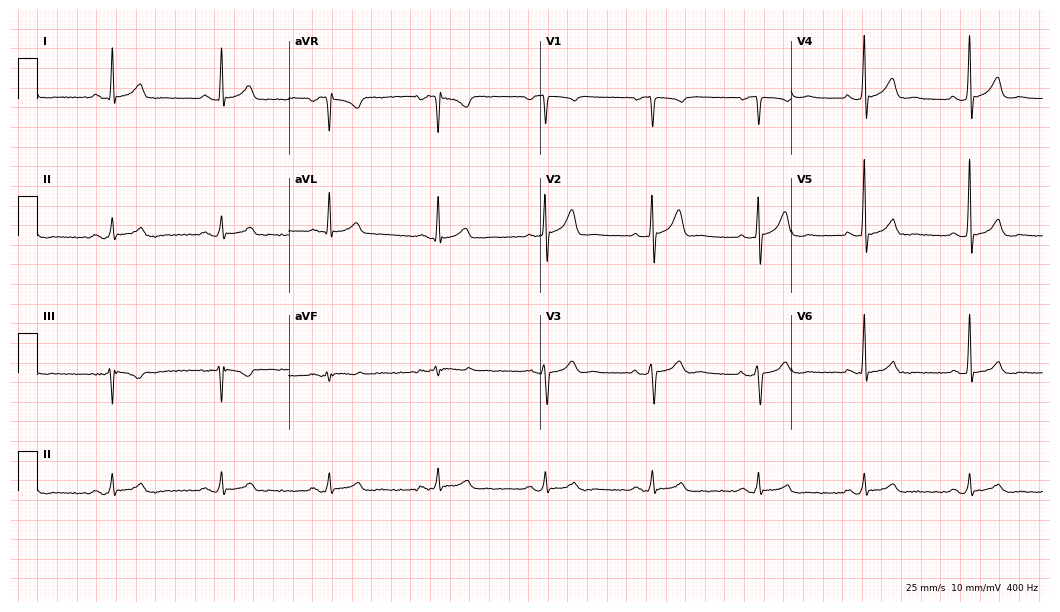
ECG (10.2-second recording at 400 Hz) — a male patient, 49 years old. Screened for six findings — first-degree AV block, right bundle branch block, left bundle branch block, sinus bradycardia, atrial fibrillation, sinus tachycardia — none is recorded. Findings outside these six are not listed.